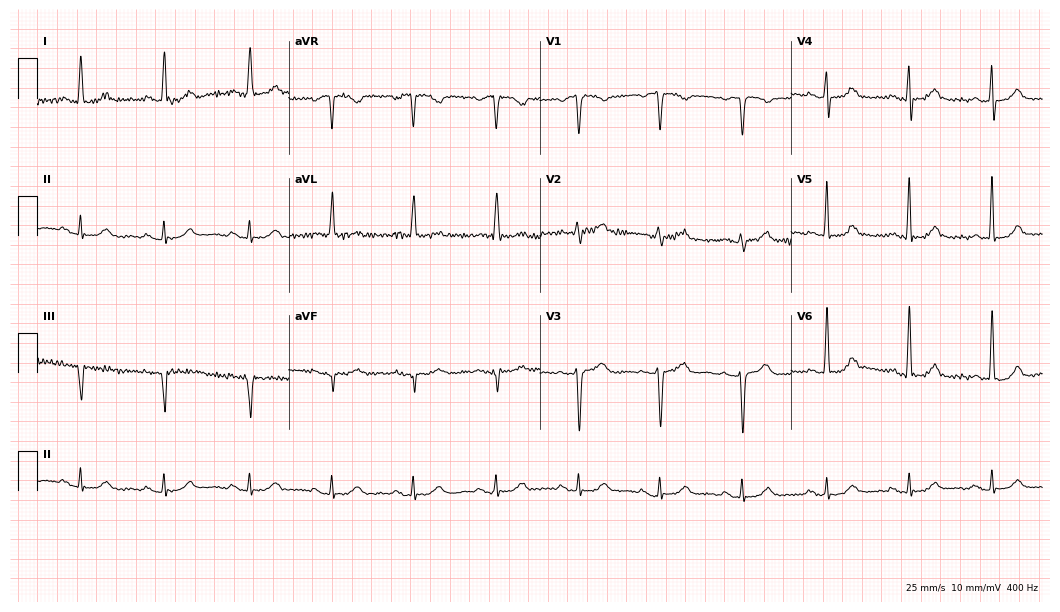
Standard 12-lead ECG recorded from a female, 73 years old (10.2-second recording at 400 Hz). None of these six findings is recorded: first-degree AV block, right bundle branch block, left bundle branch block, sinus bradycardia, atrial fibrillation, sinus tachycardia. Findings outside these six are not listed.